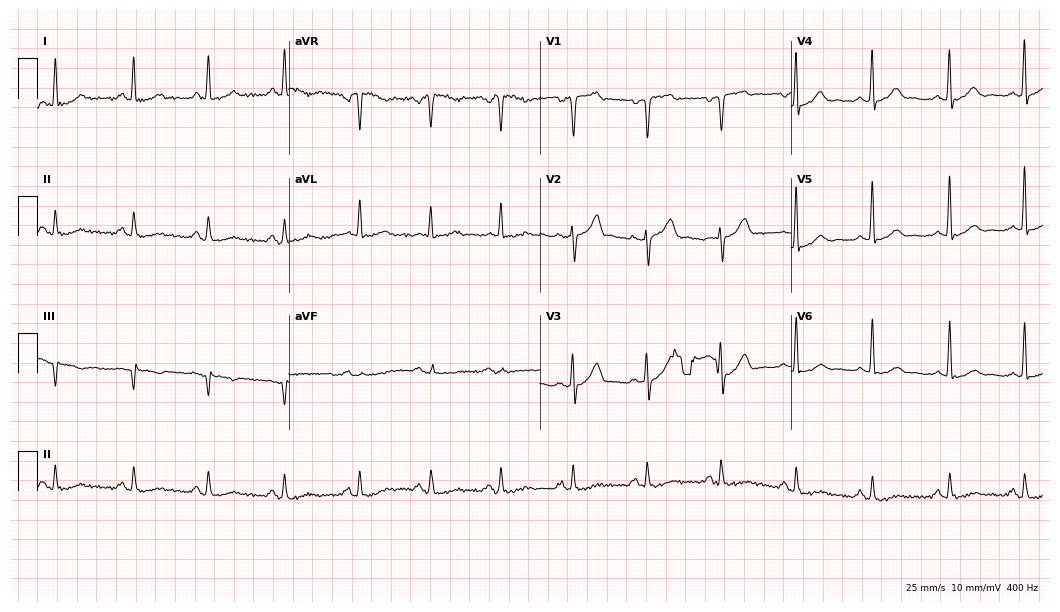
12-lead ECG from a male, 42 years old (10.2-second recording at 400 Hz). No first-degree AV block, right bundle branch block, left bundle branch block, sinus bradycardia, atrial fibrillation or sinus tachycardia recorded for this tracing.